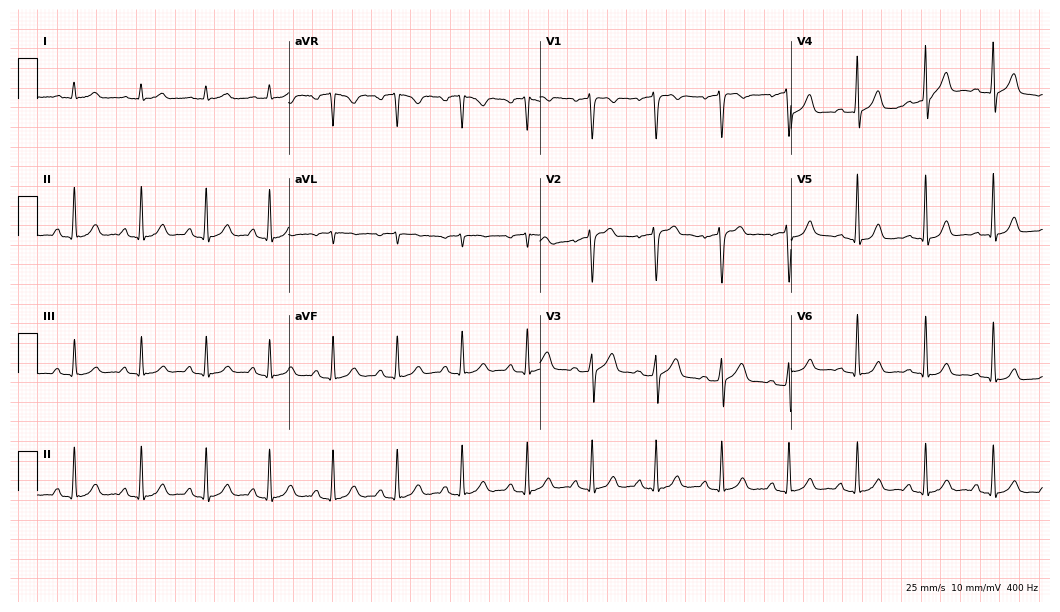
ECG — a 53-year-old male. Labelled as a normal ECG.